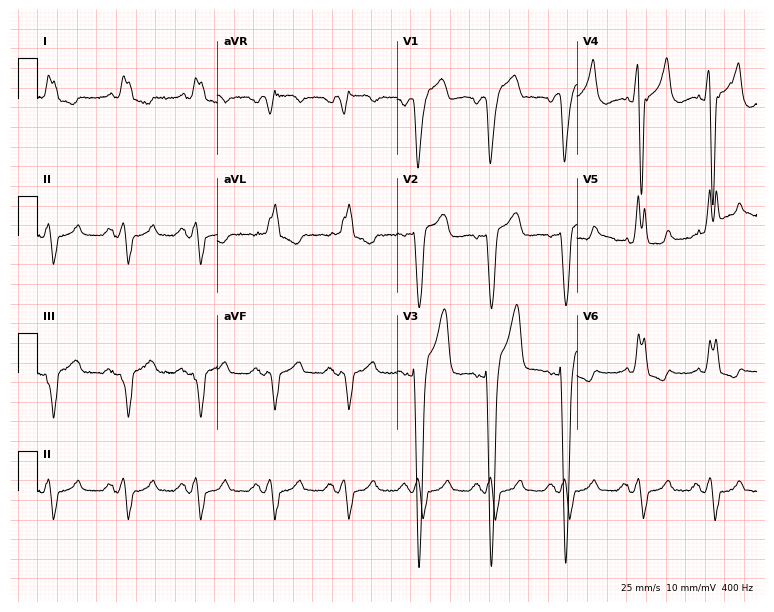
Resting 12-lead electrocardiogram. Patient: a man, 79 years old. The tracing shows left bundle branch block.